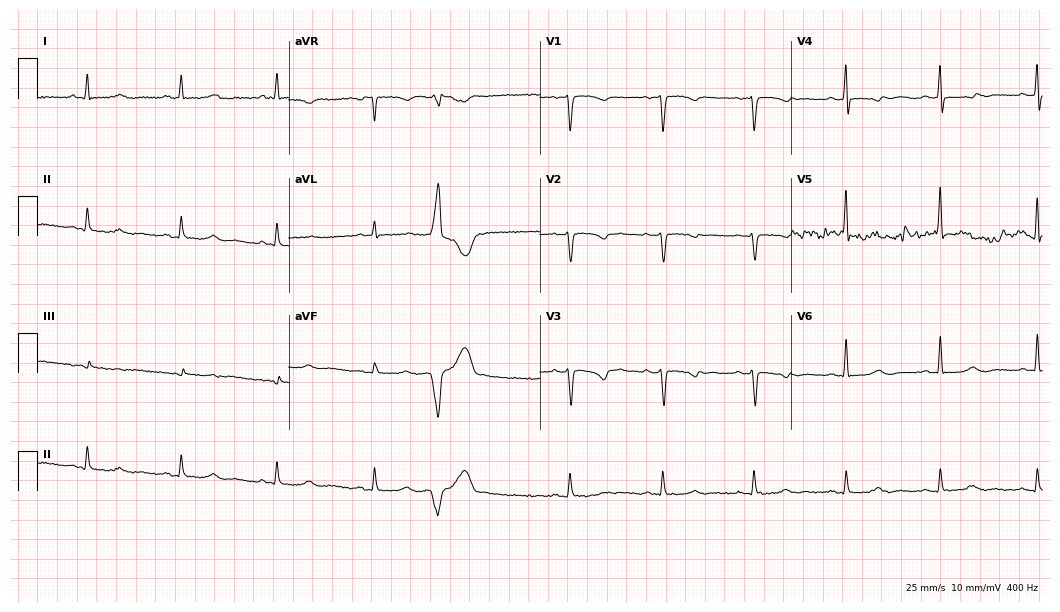
Resting 12-lead electrocardiogram. Patient: a 52-year-old female. None of these six findings is recorded: first-degree AV block, right bundle branch block, left bundle branch block, sinus bradycardia, atrial fibrillation, sinus tachycardia. Other findings, if any, are not listed.